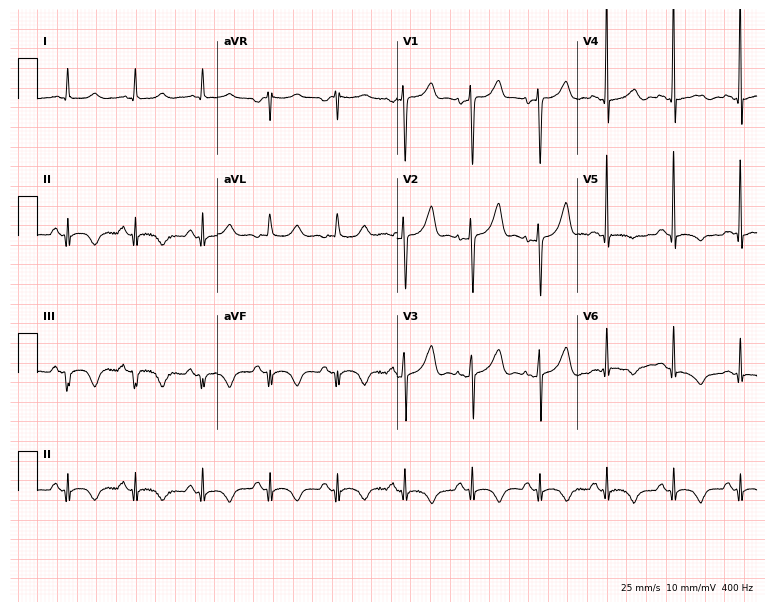
12-lead ECG (7.3-second recording at 400 Hz) from a 75-year-old woman. Screened for six findings — first-degree AV block, right bundle branch block, left bundle branch block, sinus bradycardia, atrial fibrillation, sinus tachycardia — none is recorded. Findings outside these six are not listed.